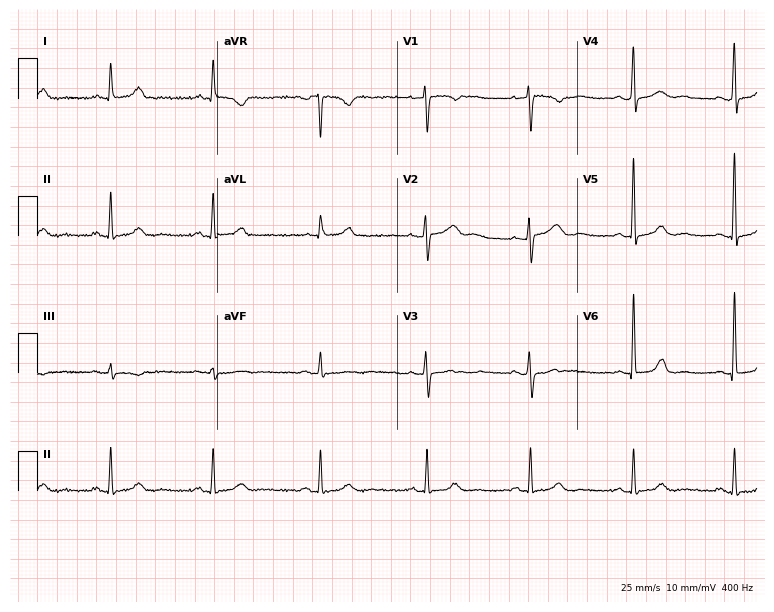
Electrocardiogram, a 56-year-old woman. Overall reading on record: normal ECG.